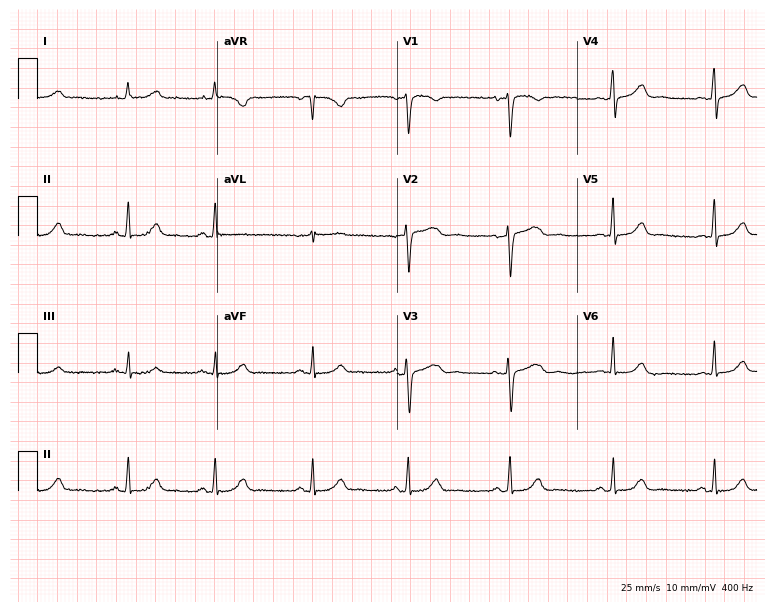
12-lead ECG from a 48-year-old woman (7.3-second recording at 400 Hz). Recorded interpretation: within normal limits.